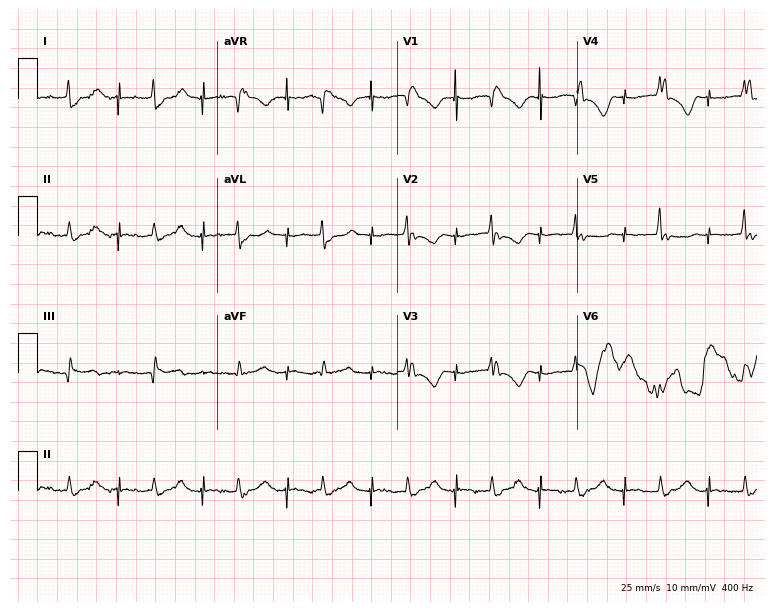
Electrocardiogram (7.3-second recording at 400 Hz), a man, 61 years old. Of the six screened findings (first-degree AV block, right bundle branch block (RBBB), left bundle branch block (LBBB), sinus bradycardia, atrial fibrillation (AF), sinus tachycardia), none is recorded. Only these six findings were labelled.